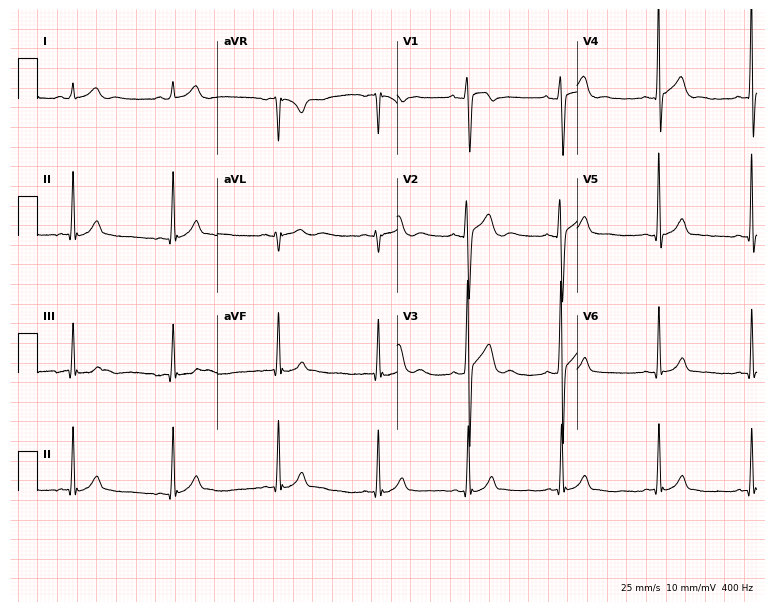
12-lead ECG (7.3-second recording at 400 Hz) from a male patient, 17 years old. Labelled as a normal ECG.